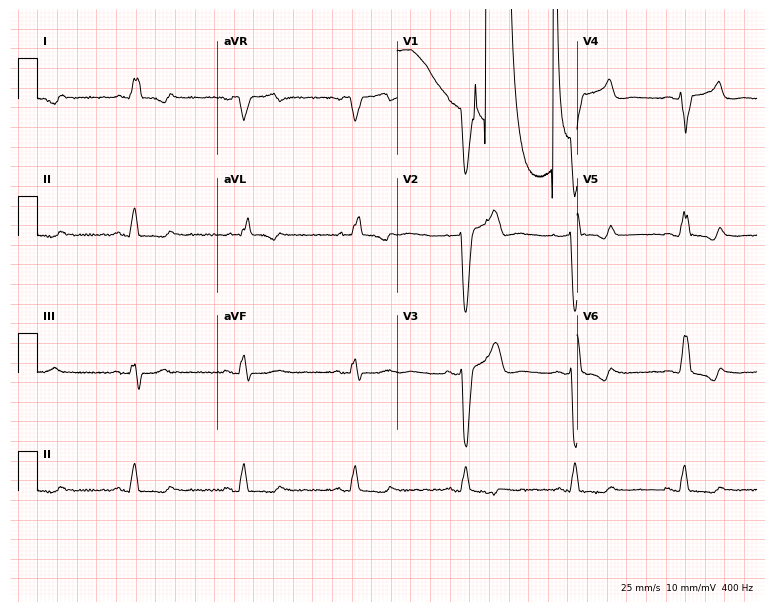
Resting 12-lead electrocardiogram (7.3-second recording at 400 Hz). Patient: a man, 73 years old. None of these six findings is recorded: first-degree AV block, right bundle branch block, left bundle branch block, sinus bradycardia, atrial fibrillation, sinus tachycardia.